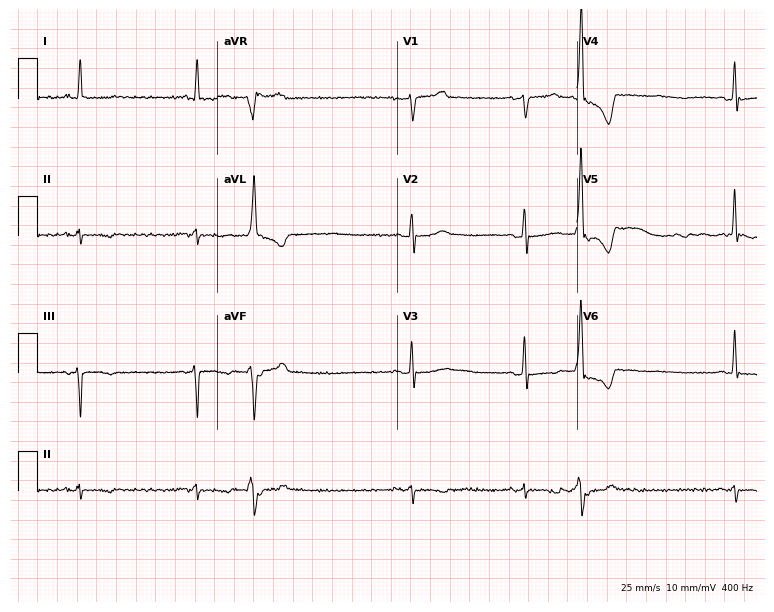
Electrocardiogram, a man, 73 years old. Of the six screened findings (first-degree AV block, right bundle branch block, left bundle branch block, sinus bradycardia, atrial fibrillation, sinus tachycardia), none is recorded. Findings outside these six are not listed.